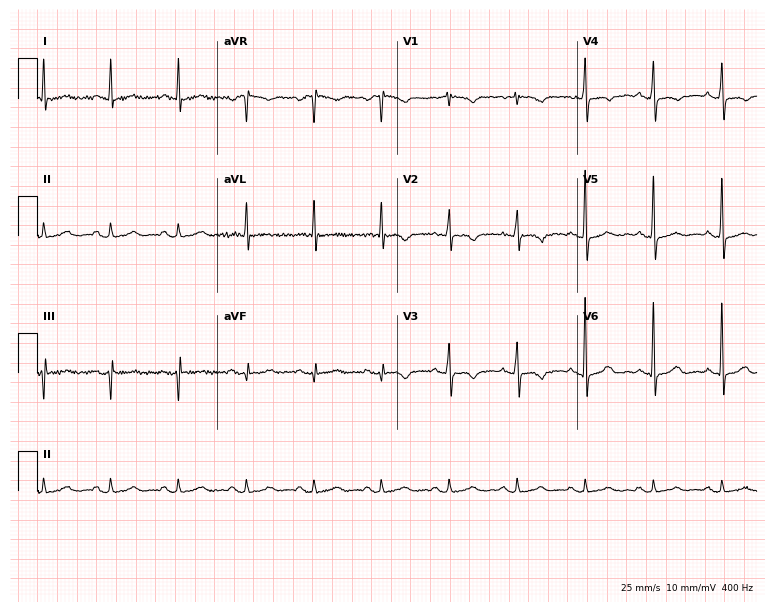
Standard 12-lead ECG recorded from a 66-year-old female patient. None of these six findings is recorded: first-degree AV block, right bundle branch block, left bundle branch block, sinus bradycardia, atrial fibrillation, sinus tachycardia.